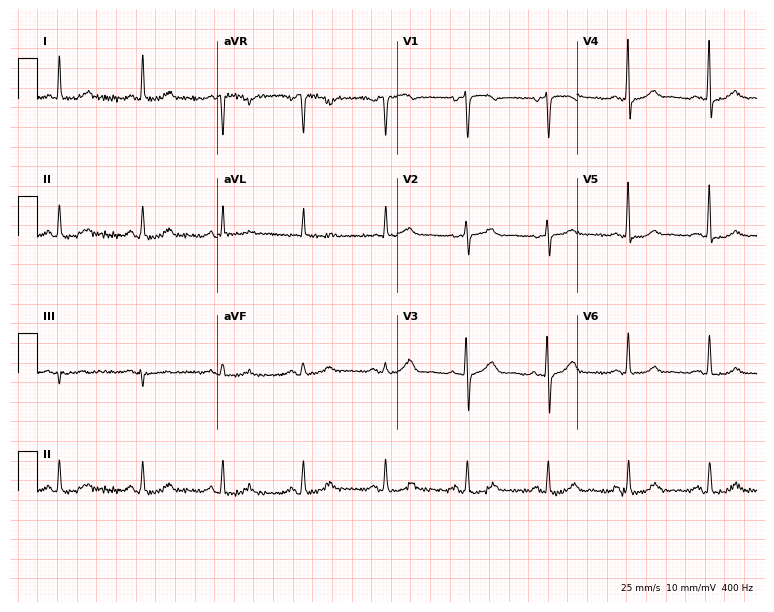
Resting 12-lead electrocardiogram. Patient: a female, 59 years old. Read as a normal ECG.